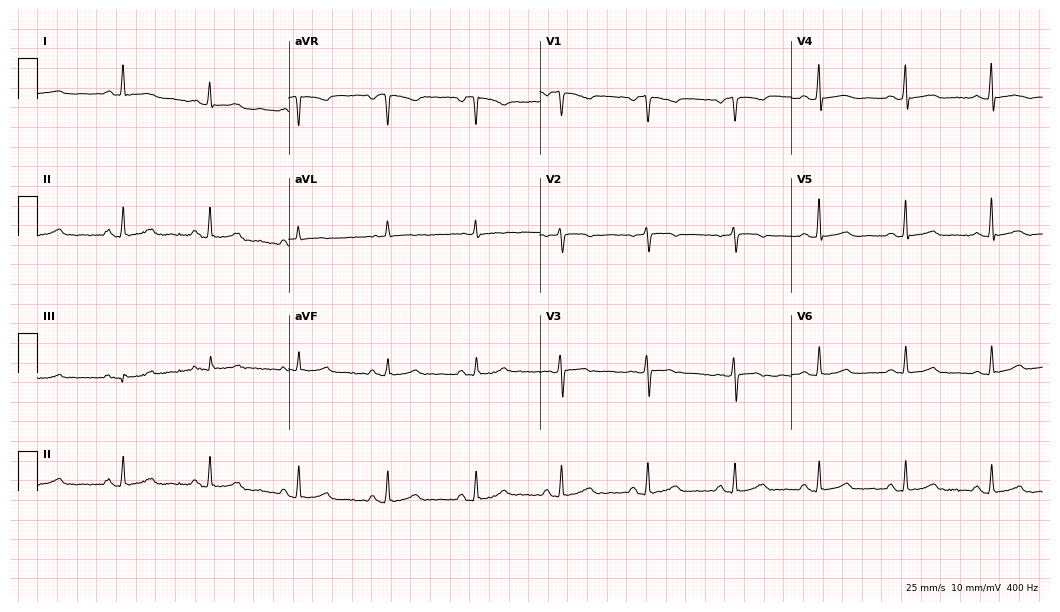
ECG — a female, 63 years old. Labelled as a normal ECG.